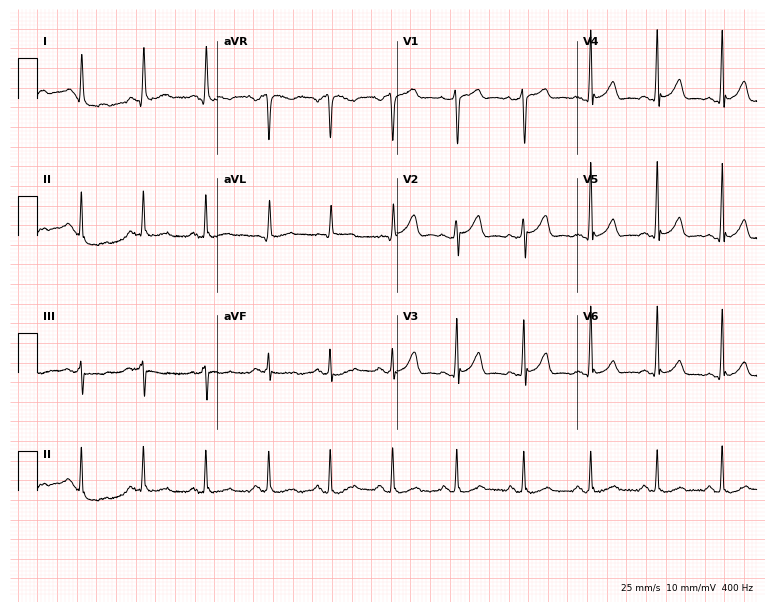
Resting 12-lead electrocardiogram. Patient: a woman, 59 years old. None of these six findings is recorded: first-degree AV block, right bundle branch block, left bundle branch block, sinus bradycardia, atrial fibrillation, sinus tachycardia.